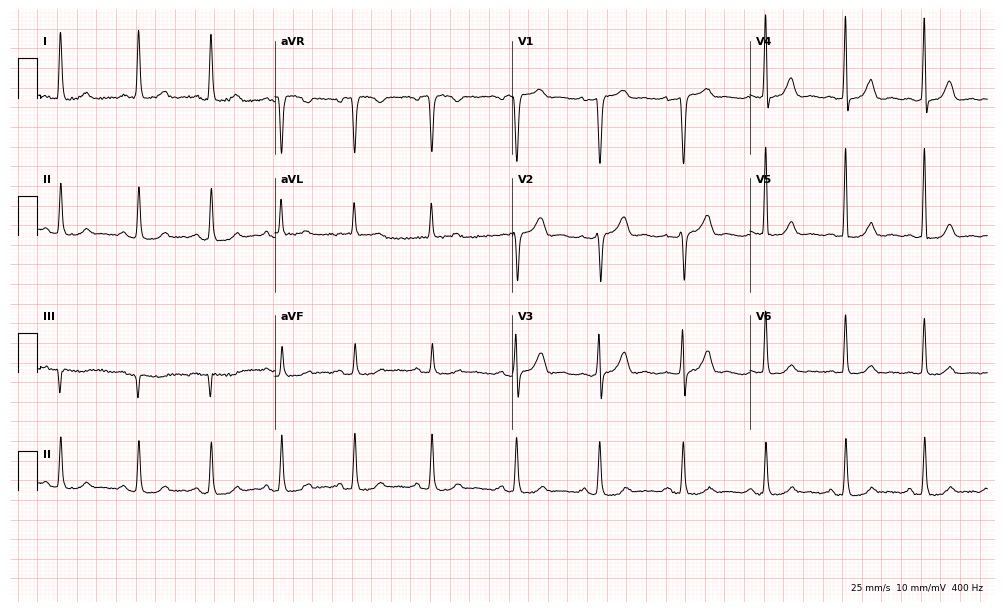
Standard 12-lead ECG recorded from a woman, 61 years old (9.7-second recording at 400 Hz). Read as a normal ECG.